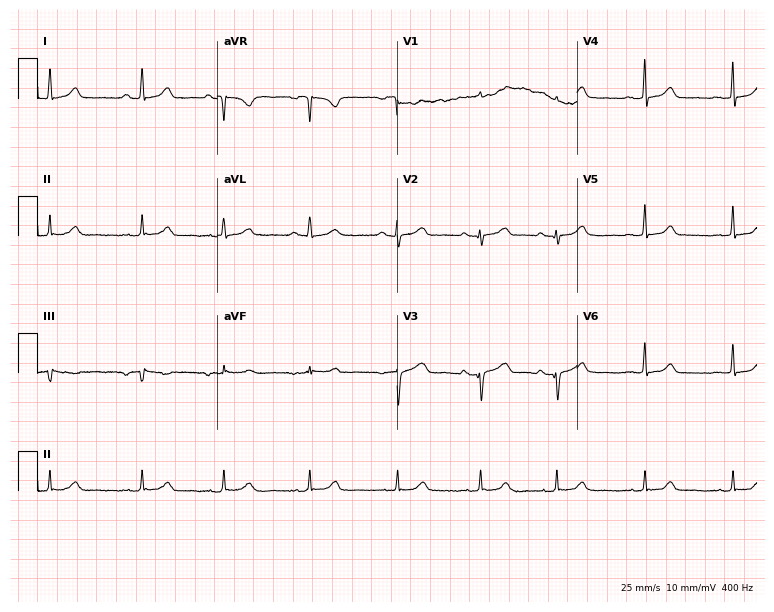
12-lead ECG from a 48-year-old female patient. No first-degree AV block, right bundle branch block (RBBB), left bundle branch block (LBBB), sinus bradycardia, atrial fibrillation (AF) or sinus tachycardia recorded for this tracing.